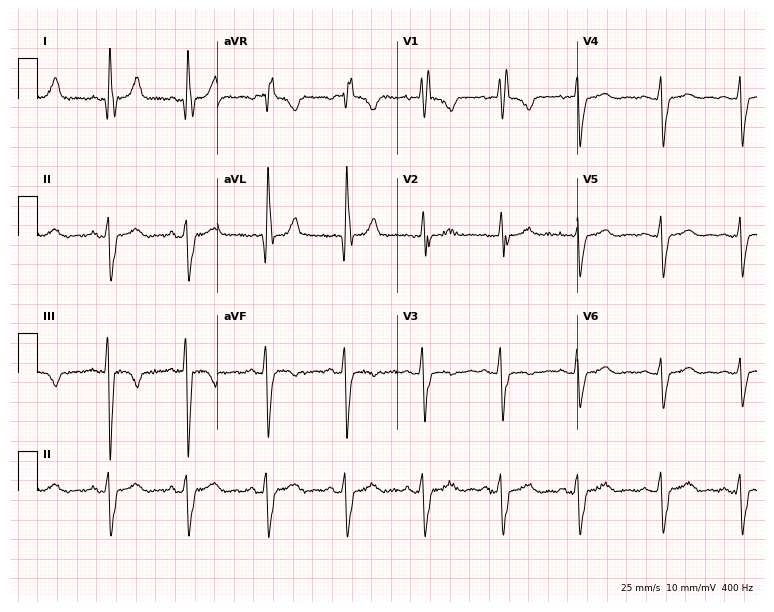
ECG (7.3-second recording at 400 Hz) — a 60-year-old female patient. Screened for six findings — first-degree AV block, right bundle branch block, left bundle branch block, sinus bradycardia, atrial fibrillation, sinus tachycardia — none is recorded.